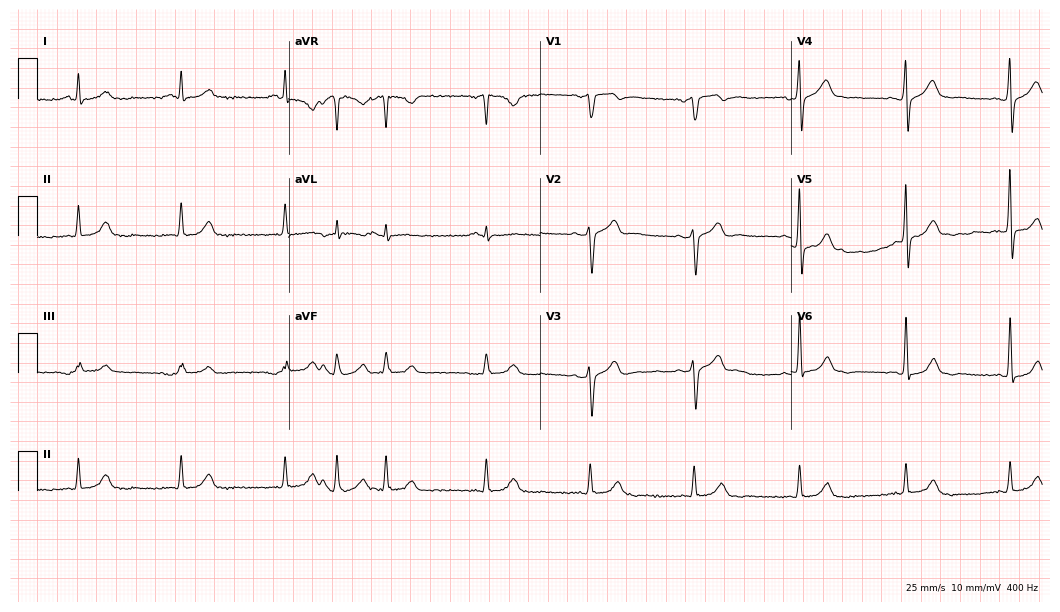
12-lead ECG from a man, 81 years old. No first-degree AV block, right bundle branch block, left bundle branch block, sinus bradycardia, atrial fibrillation or sinus tachycardia recorded for this tracing. Other findings, if any, are not listed.